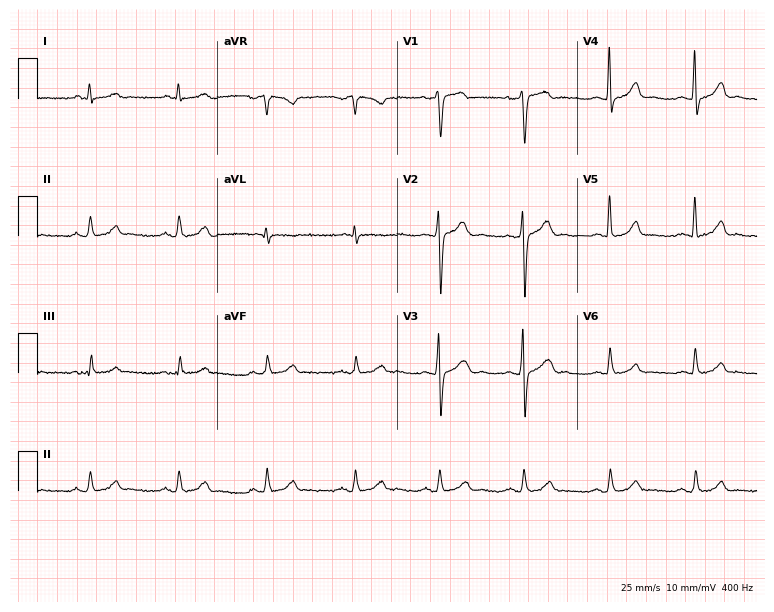
12-lead ECG from a male, 70 years old. Recorded interpretation: within normal limits.